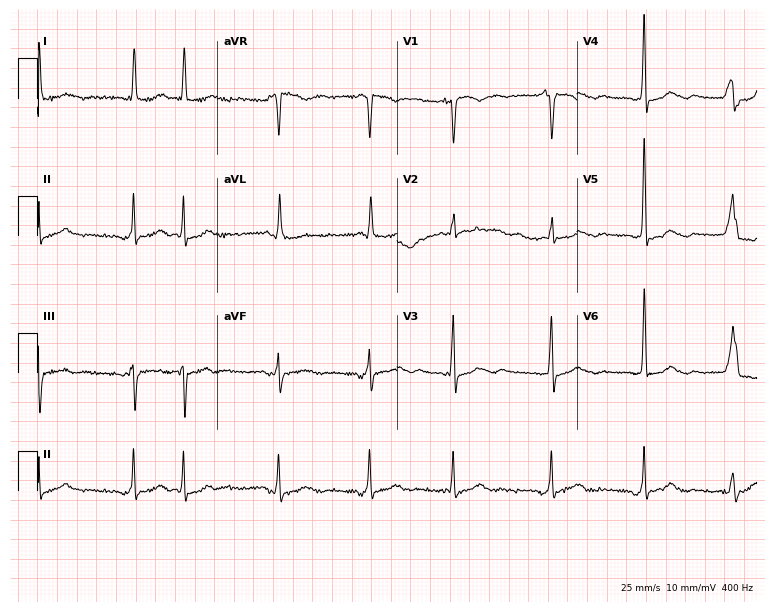
Standard 12-lead ECG recorded from a female patient, 75 years old (7.3-second recording at 400 Hz). Read as a normal ECG.